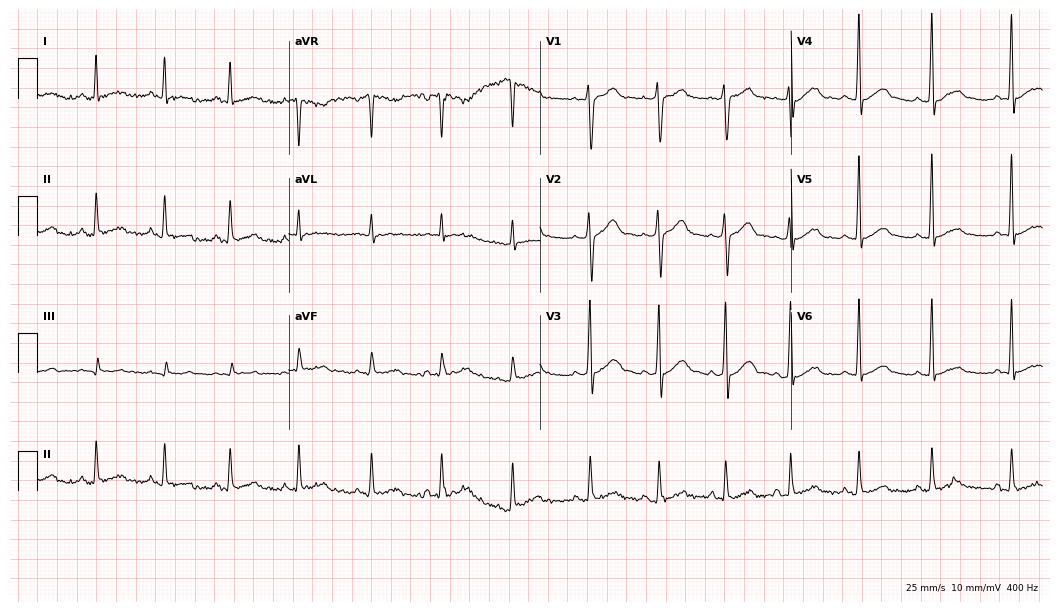
12-lead ECG from a 37-year-old male patient. Labelled as a normal ECG.